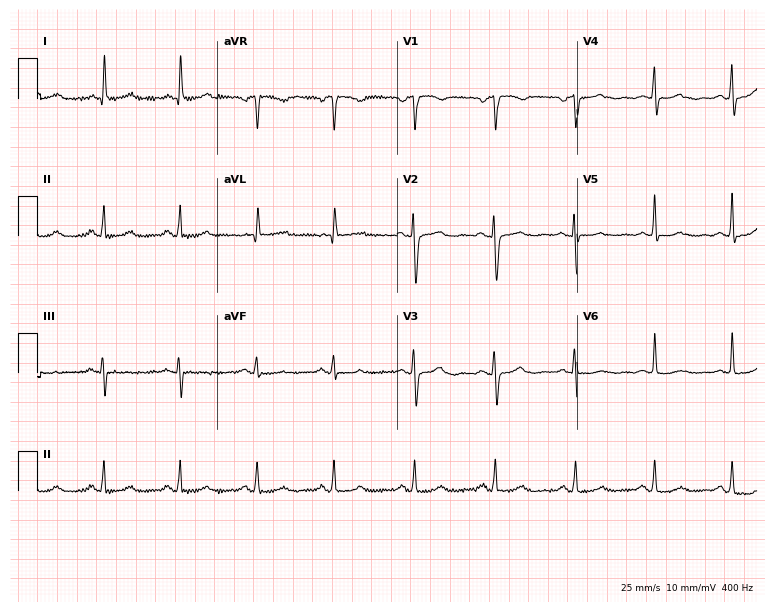
Electrocardiogram, a woman, 47 years old. Of the six screened findings (first-degree AV block, right bundle branch block, left bundle branch block, sinus bradycardia, atrial fibrillation, sinus tachycardia), none is recorded.